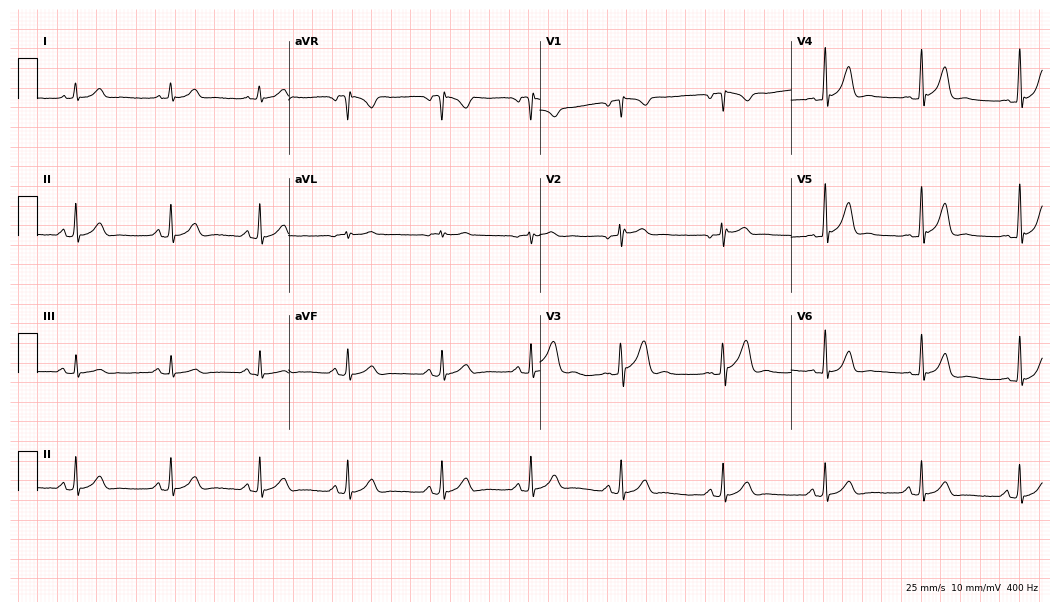
Standard 12-lead ECG recorded from a 21-year-old male (10.2-second recording at 400 Hz). Read as a normal ECG.